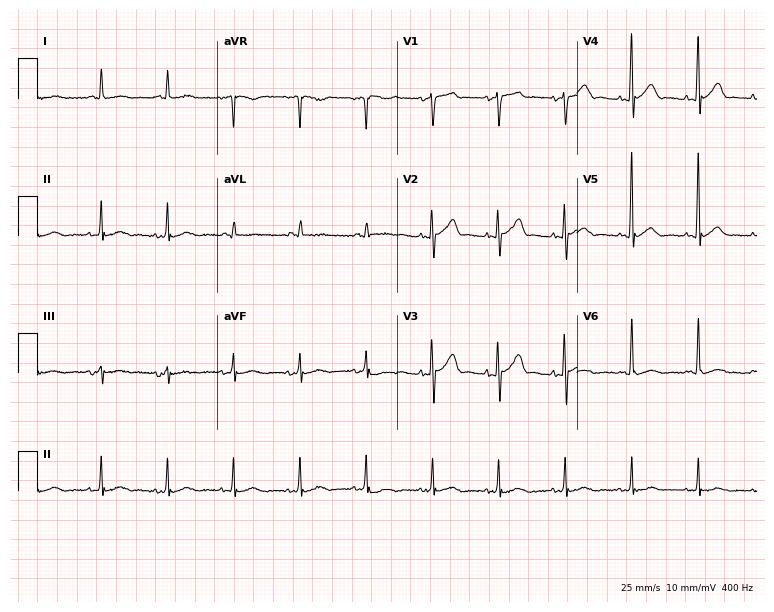
12-lead ECG from a male, 71 years old (7.3-second recording at 400 Hz). No first-degree AV block, right bundle branch block, left bundle branch block, sinus bradycardia, atrial fibrillation or sinus tachycardia recorded for this tracing. Only these six findings were labelled.